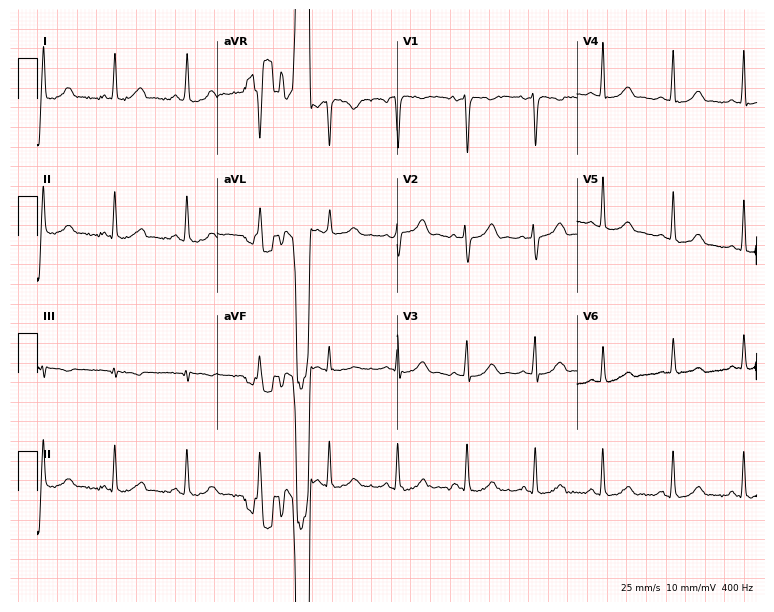
12-lead ECG from a 27-year-old woman. Screened for six findings — first-degree AV block, right bundle branch block, left bundle branch block, sinus bradycardia, atrial fibrillation, sinus tachycardia — none is recorded.